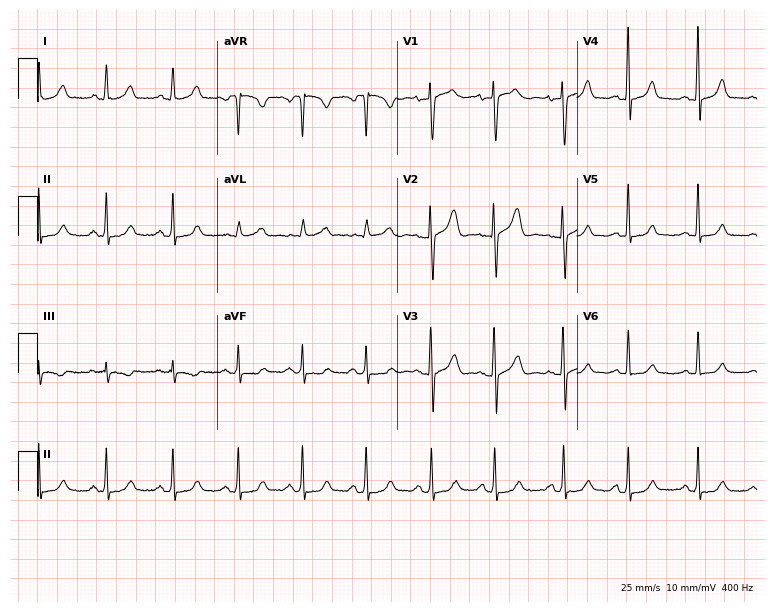
ECG — a female, 31 years old. Labelled as a normal ECG.